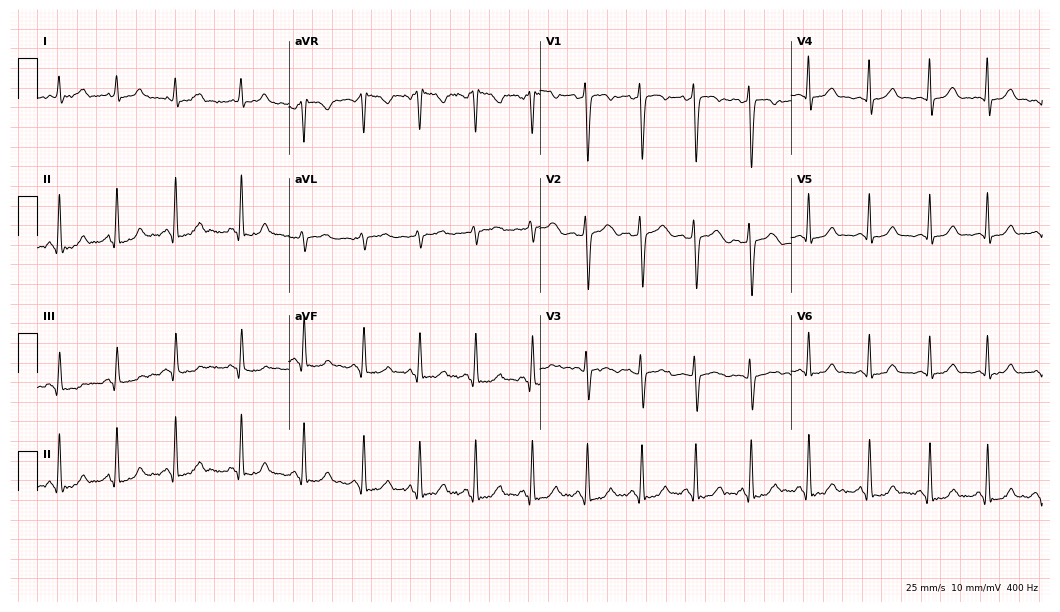
ECG — a 23-year-old female. Labelled as a normal ECG.